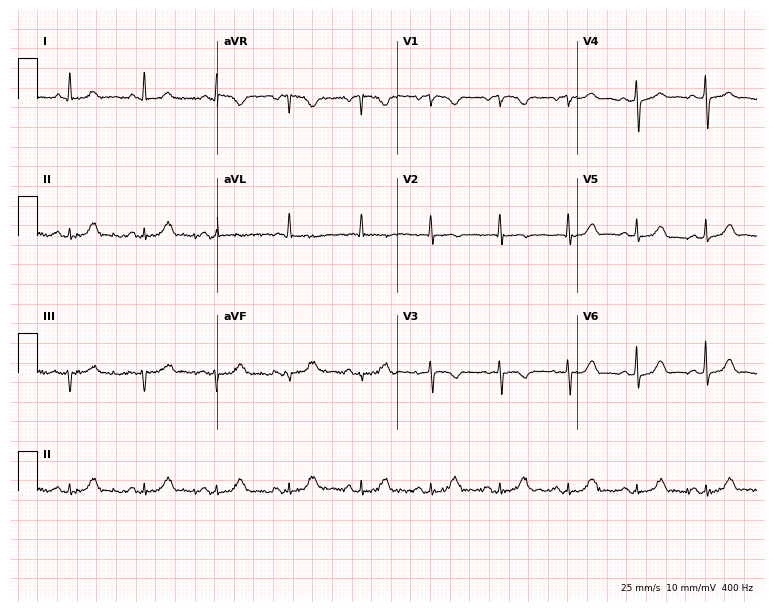
12-lead ECG from a female patient, 61 years old (7.3-second recording at 400 Hz). Recorded interpretation: within normal limits.